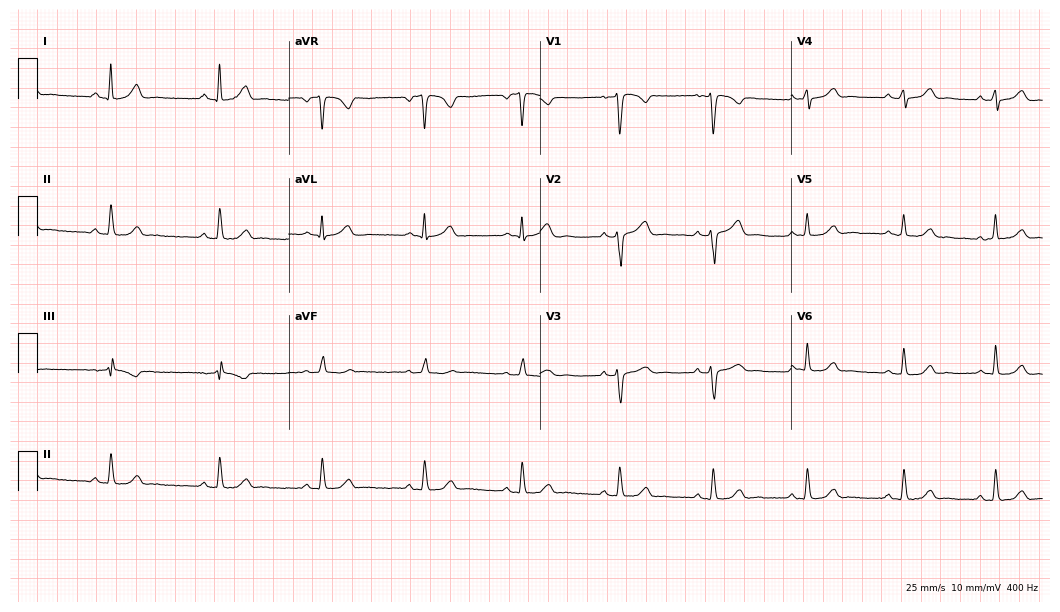
Resting 12-lead electrocardiogram (10.2-second recording at 400 Hz). Patient: a woman, 42 years old. Read as a normal ECG.